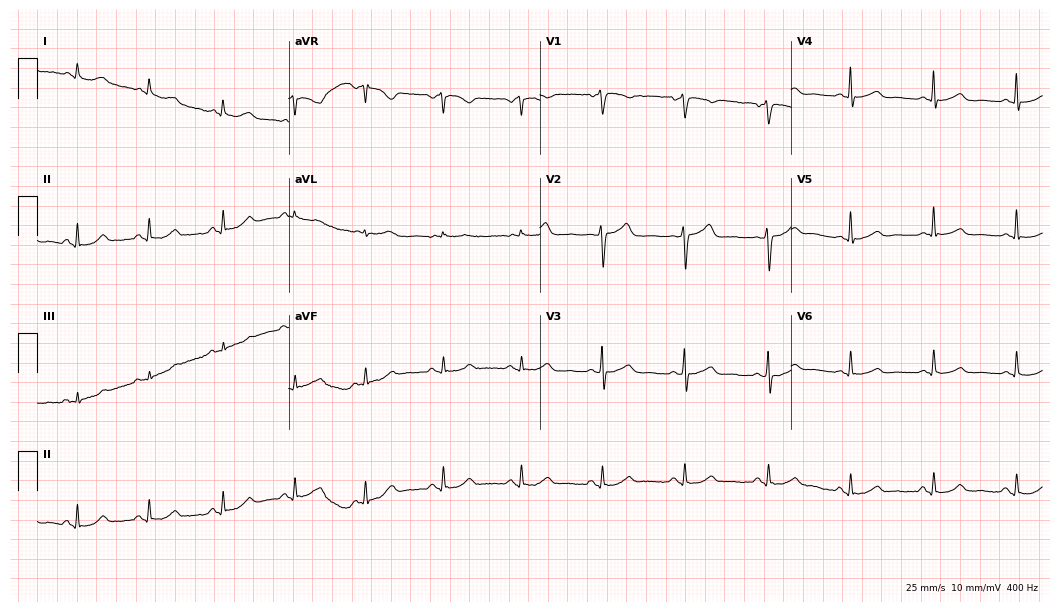
Resting 12-lead electrocardiogram (10.2-second recording at 400 Hz). Patient: a 69-year-old man. Read as a normal ECG.